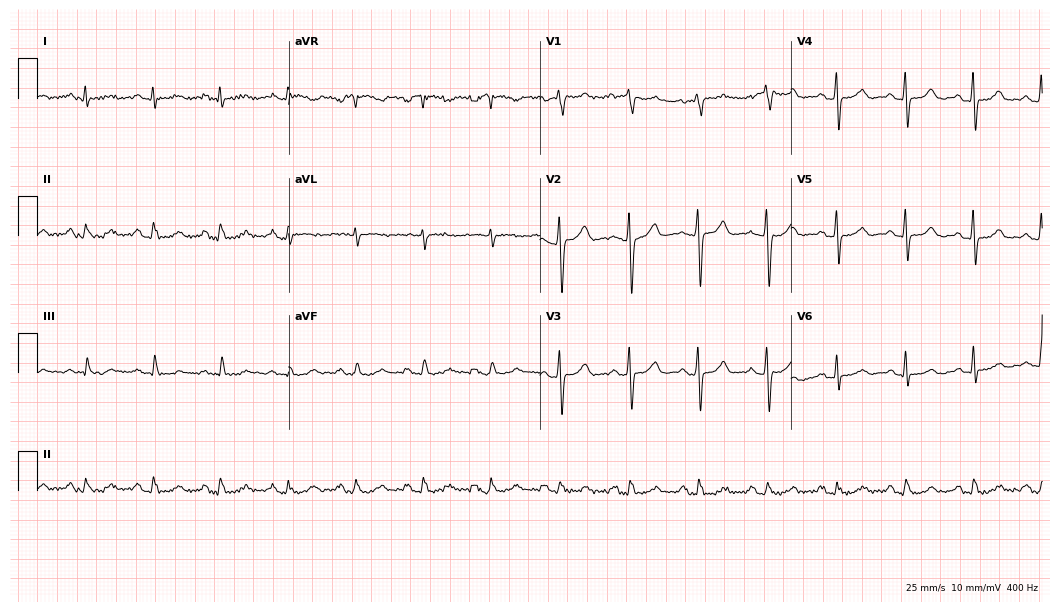
12-lead ECG from a female, 61 years old. Labelled as a normal ECG.